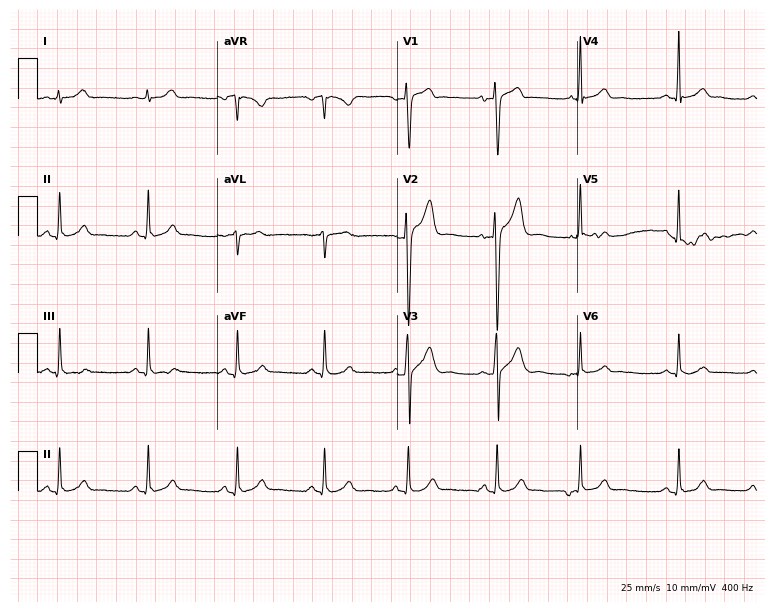
12-lead ECG from a male, 30 years old. No first-degree AV block, right bundle branch block, left bundle branch block, sinus bradycardia, atrial fibrillation or sinus tachycardia recorded for this tracing. Findings outside these six are not listed.